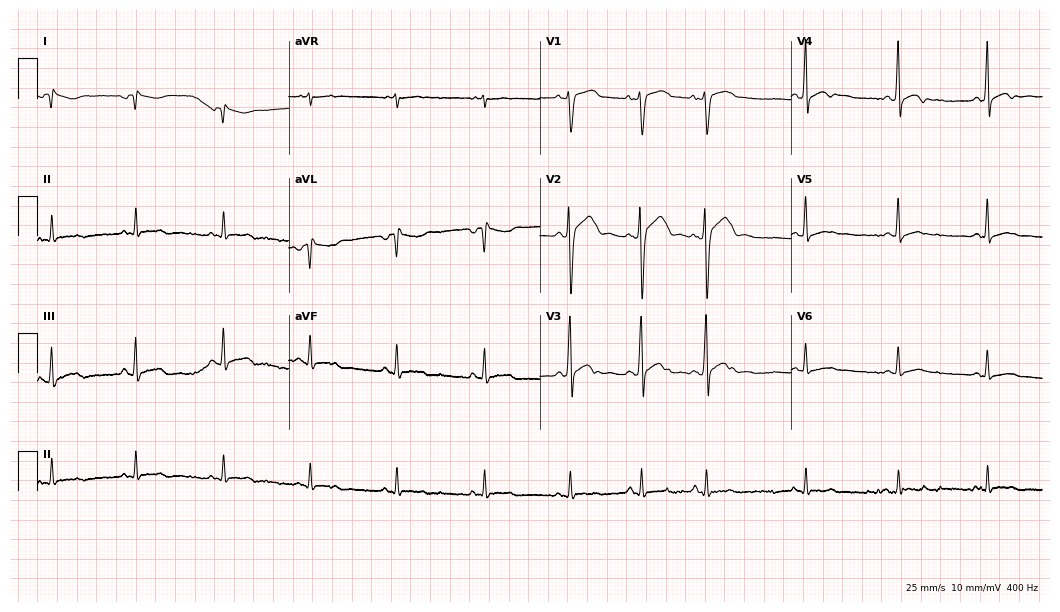
ECG — a male patient, 24 years old. Screened for six findings — first-degree AV block, right bundle branch block, left bundle branch block, sinus bradycardia, atrial fibrillation, sinus tachycardia — none is recorded. Only these six findings were labelled.